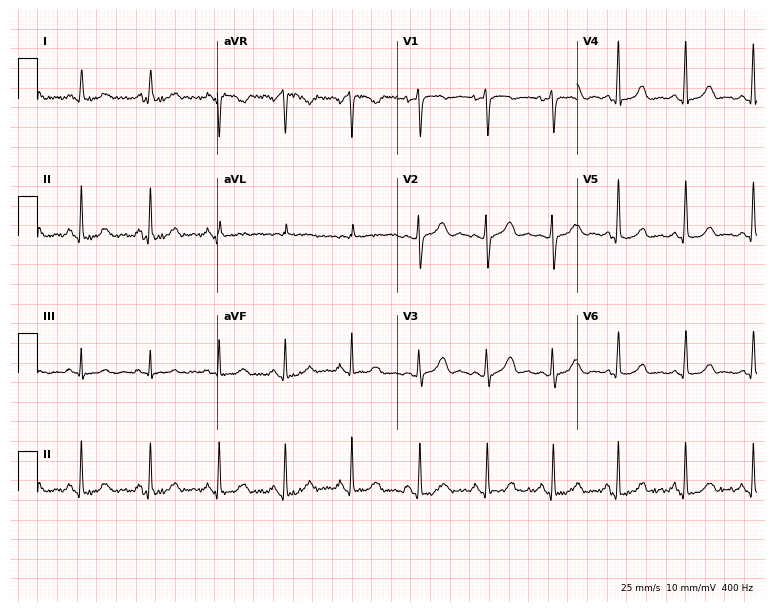
Resting 12-lead electrocardiogram (7.3-second recording at 400 Hz). Patient: a 46-year-old female. Read as a normal ECG.